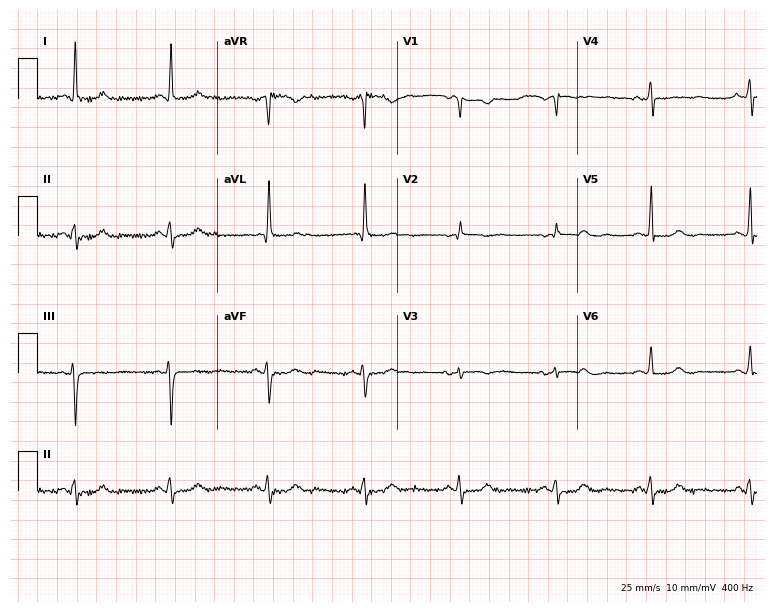
Standard 12-lead ECG recorded from a female, 77 years old (7.3-second recording at 400 Hz). None of these six findings is recorded: first-degree AV block, right bundle branch block (RBBB), left bundle branch block (LBBB), sinus bradycardia, atrial fibrillation (AF), sinus tachycardia.